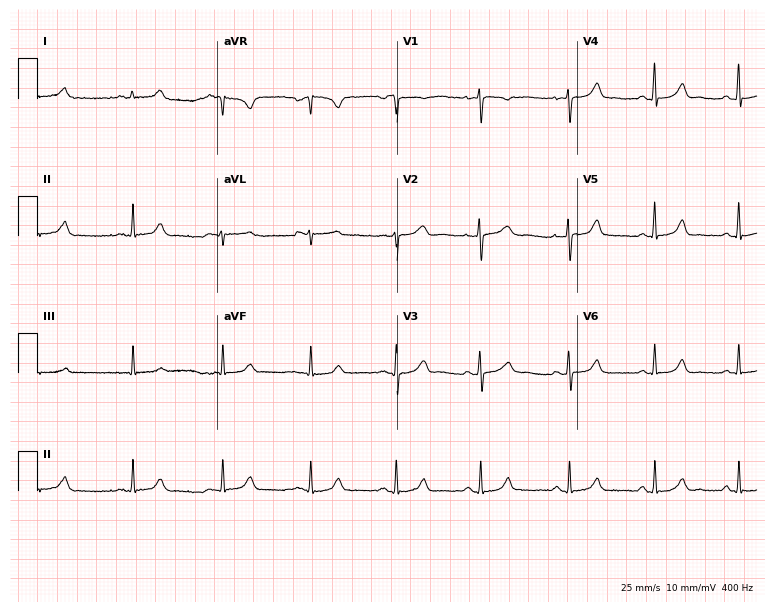
12-lead ECG from a female, 33 years old. Labelled as a normal ECG.